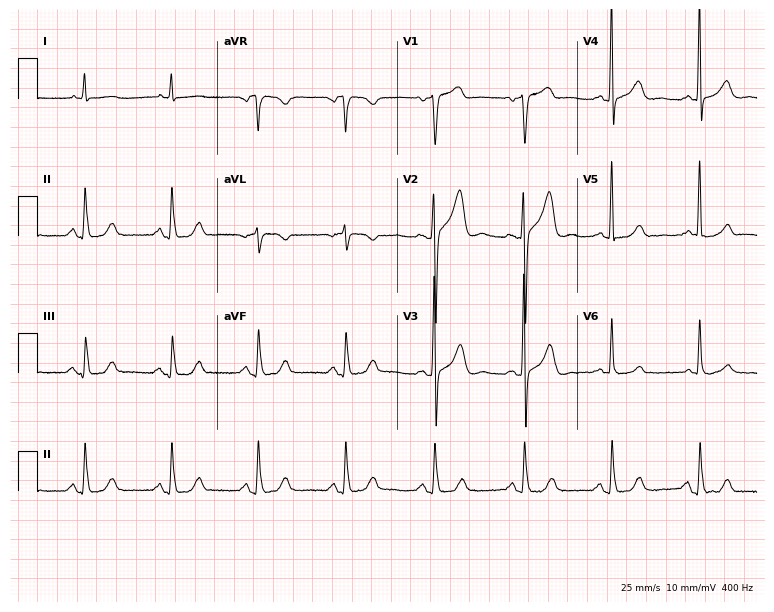
Electrocardiogram (7.3-second recording at 400 Hz), a 64-year-old female patient. Overall reading on record: normal ECG.